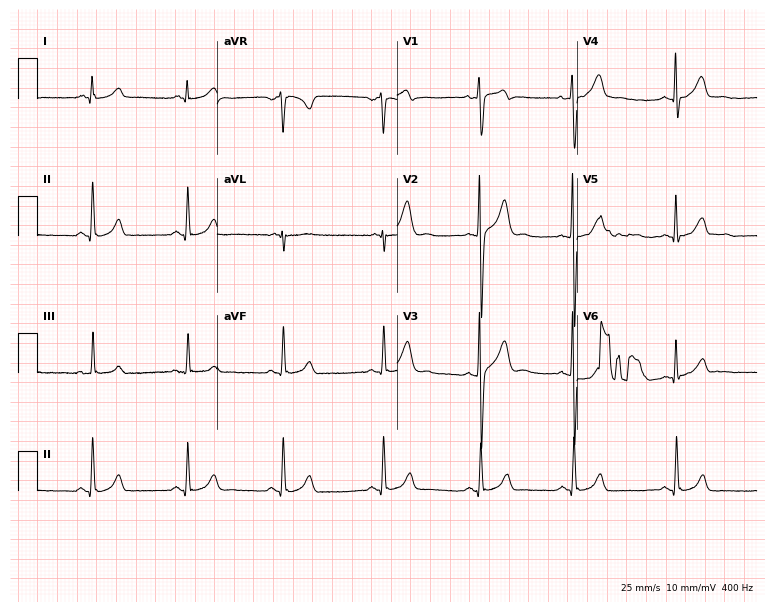
Standard 12-lead ECG recorded from a 26-year-old male. Read as a normal ECG.